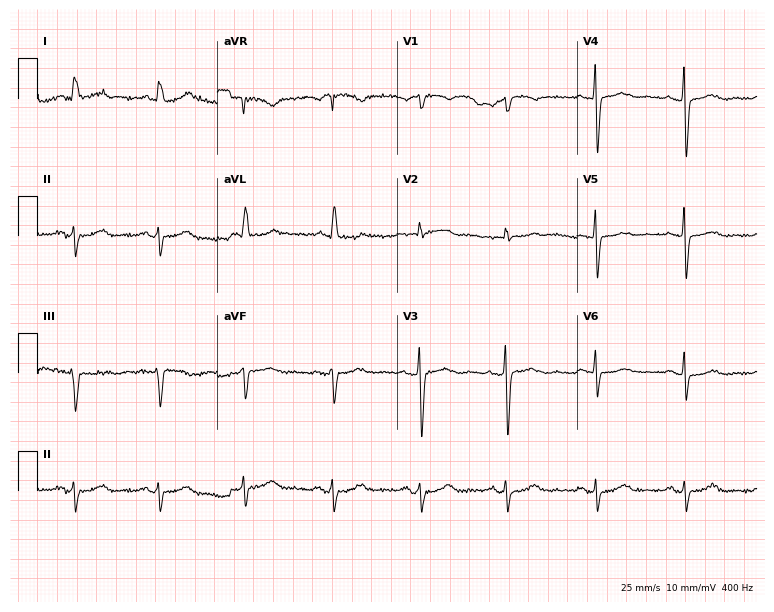
12-lead ECG from a 77-year-old woman (7.3-second recording at 400 Hz). No first-degree AV block, right bundle branch block, left bundle branch block, sinus bradycardia, atrial fibrillation or sinus tachycardia recorded for this tracing.